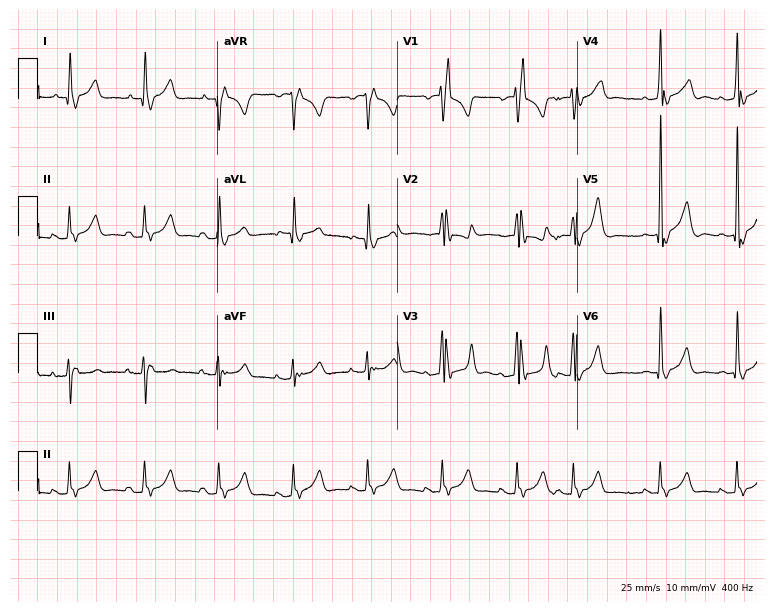
ECG (7.3-second recording at 400 Hz) — an 85-year-old male patient. Findings include right bundle branch block.